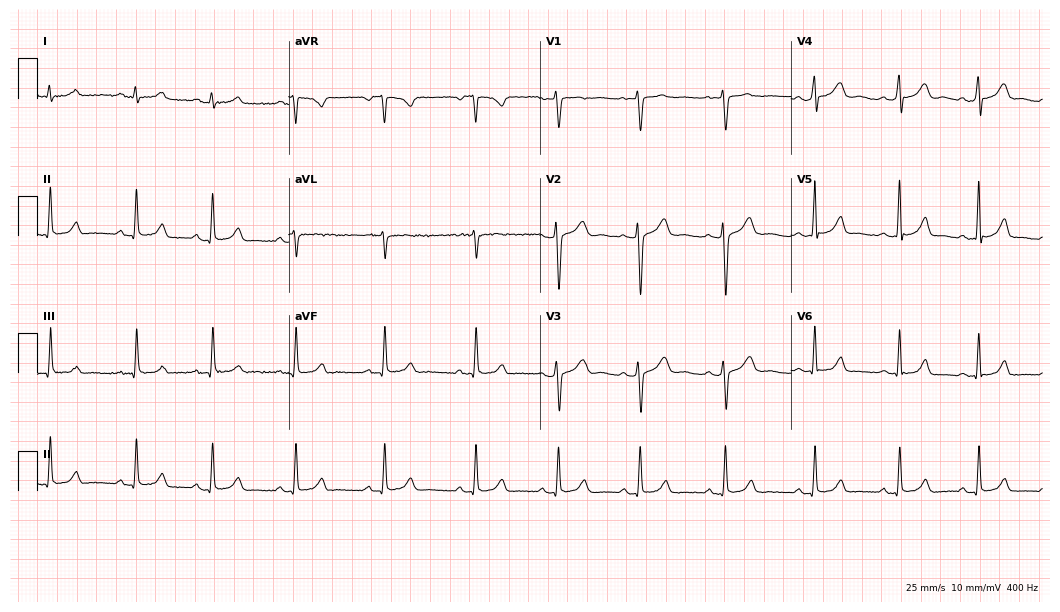
Standard 12-lead ECG recorded from a female patient, 18 years old (10.2-second recording at 400 Hz). Read as a normal ECG.